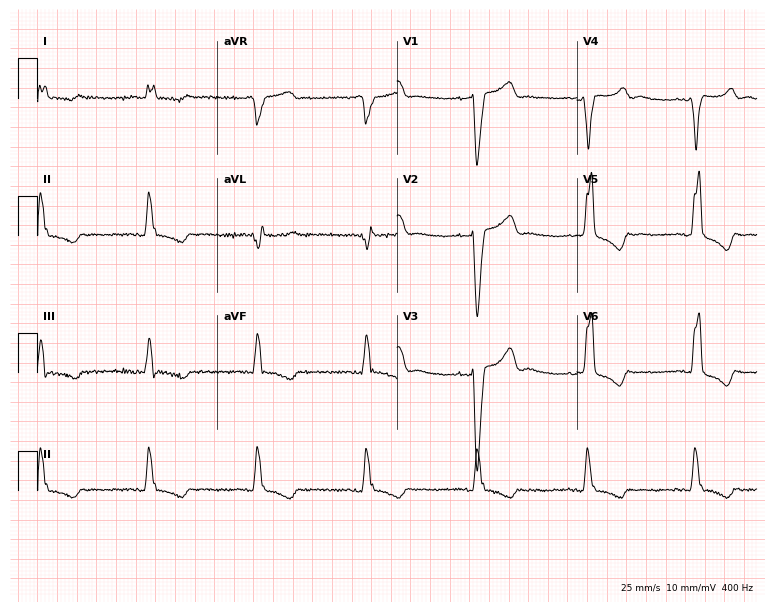
12-lead ECG (7.3-second recording at 400 Hz) from a female patient, 66 years old. Findings include left bundle branch block.